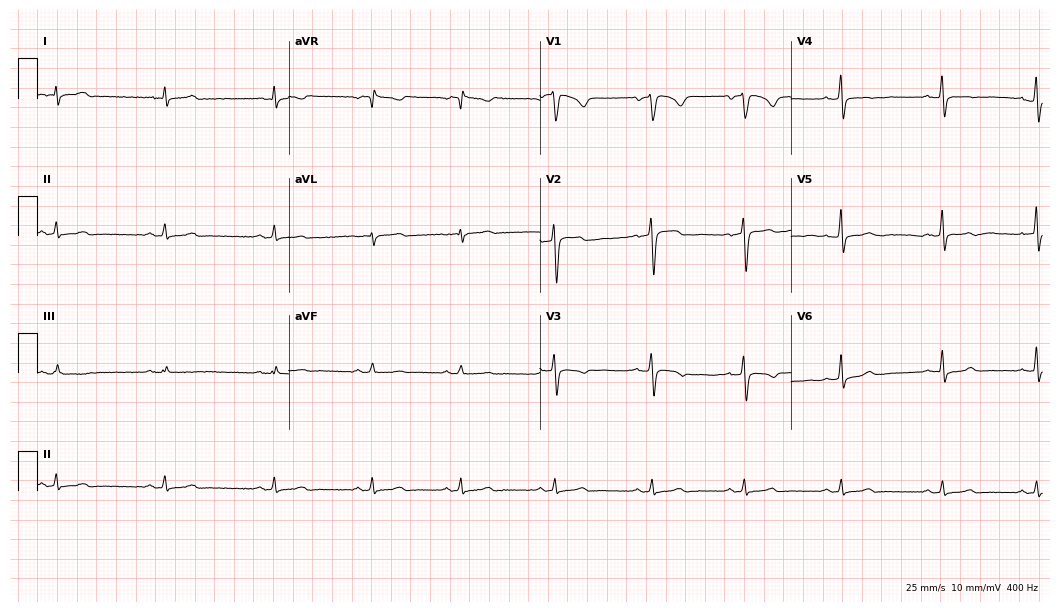
Electrocardiogram, a 43-year-old female patient. Overall reading on record: normal ECG.